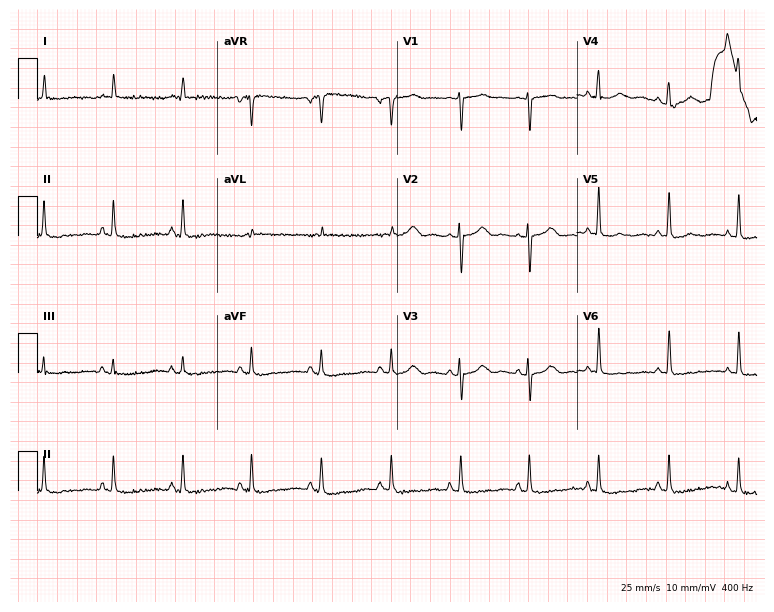
ECG (7.3-second recording at 400 Hz) — a 70-year-old female. Labelled as a normal ECG.